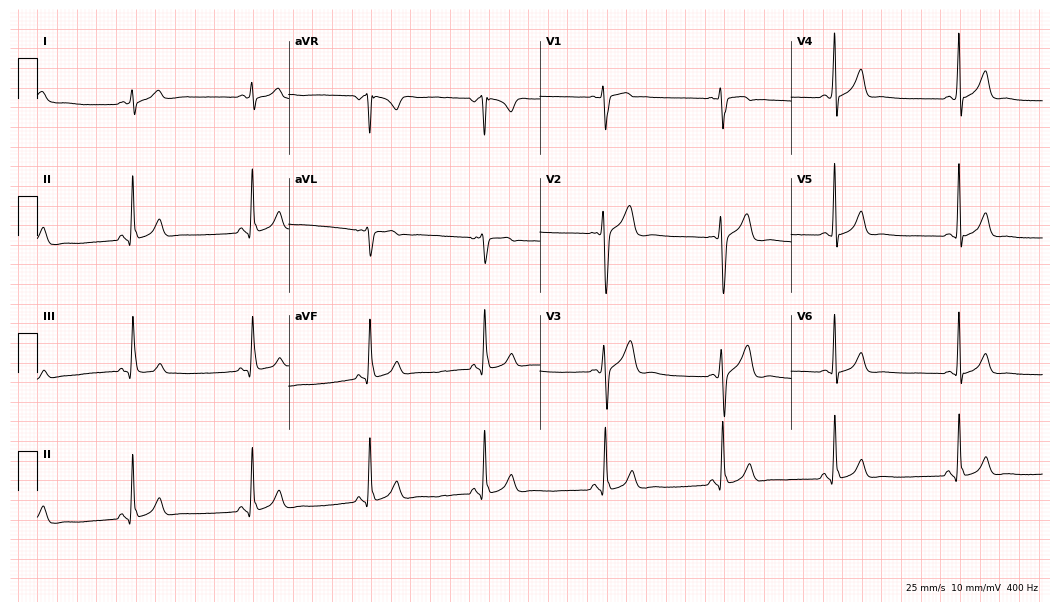
12-lead ECG from a 21-year-old man. Shows sinus bradycardia (a sinus rate of 50 beats per minute or less).